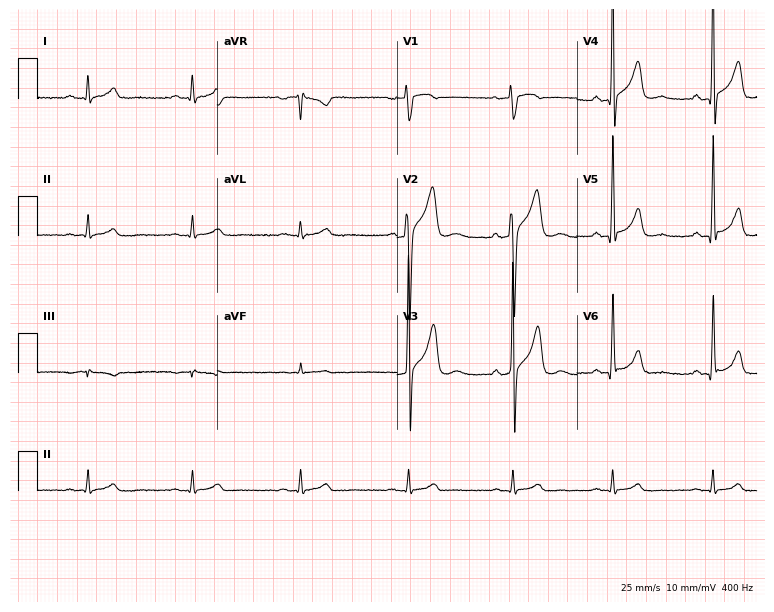
12-lead ECG from a man, 42 years old (7.3-second recording at 400 Hz). No first-degree AV block, right bundle branch block, left bundle branch block, sinus bradycardia, atrial fibrillation or sinus tachycardia recorded for this tracing.